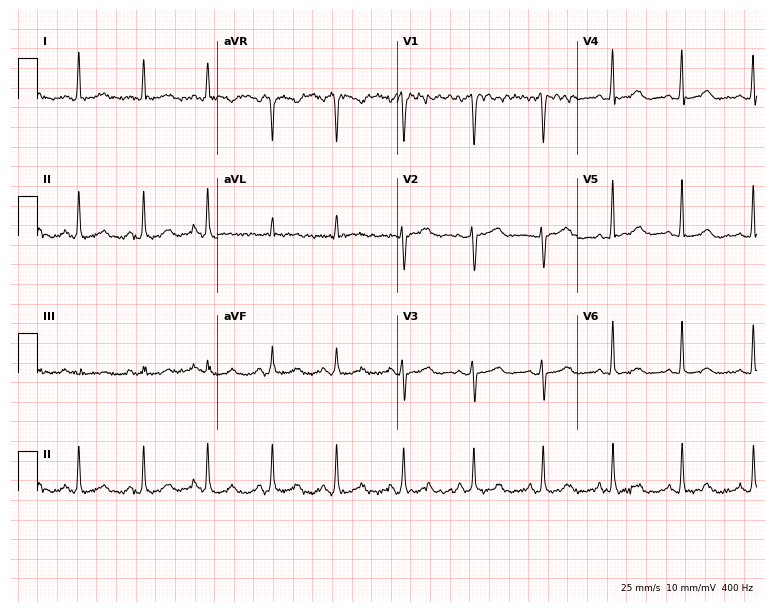
12-lead ECG from a 45-year-old female (7.3-second recording at 400 Hz). Recorded interpretation: within normal limits.